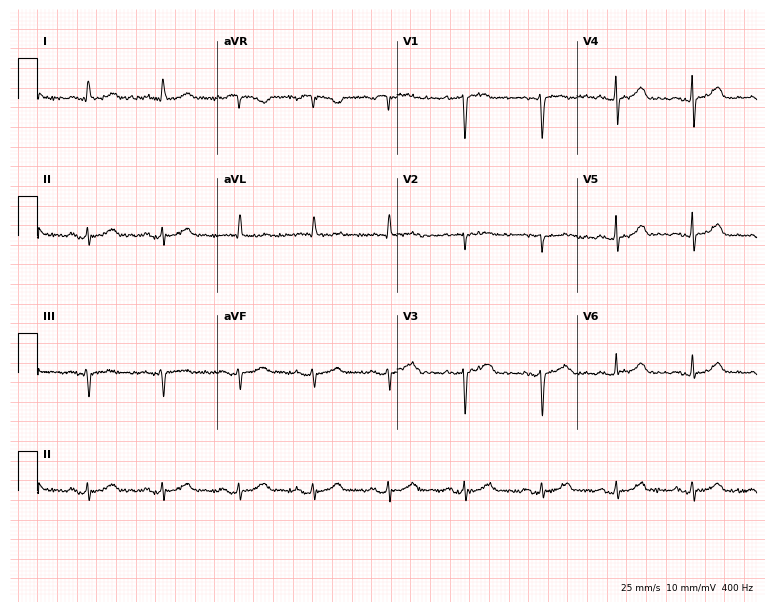
Electrocardiogram (7.3-second recording at 400 Hz), a 75-year-old female. Of the six screened findings (first-degree AV block, right bundle branch block (RBBB), left bundle branch block (LBBB), sinus bradycardia, atrial fibrillation (AF), sinus tachycardia), none is recorded.